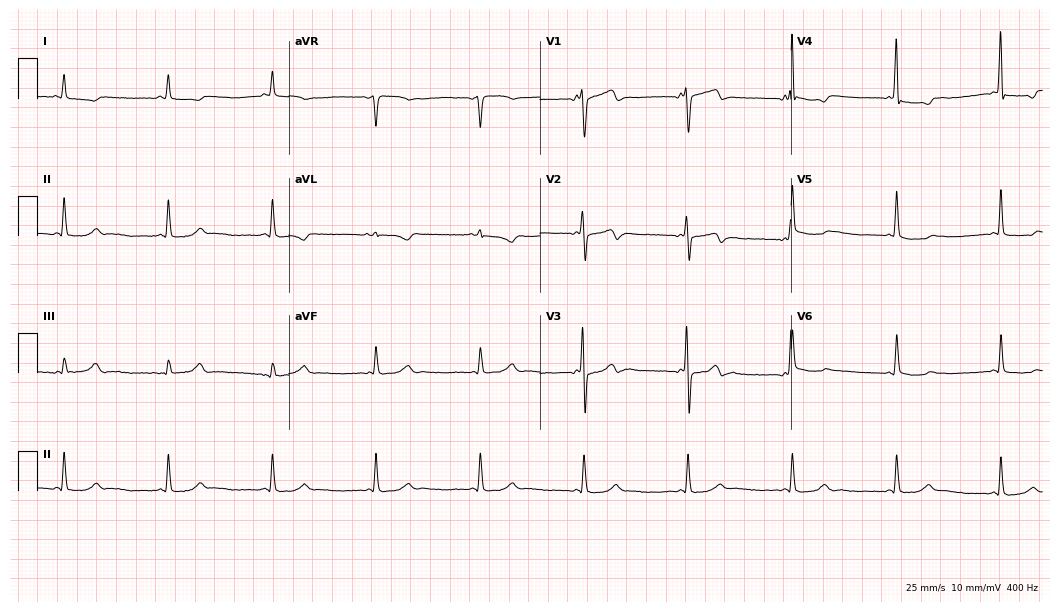
ECG (10.2-second recording at 400 Hz) — a male patient, 83 years old. Screened for six findings — first-degree AV block, right bundle branch block (RBBB), left bundle branch block (LBBB), sinus bradycardia, atrial fibrillation (AF), sinus tachycardia — none is recorded. Findings outside these six are not listed.